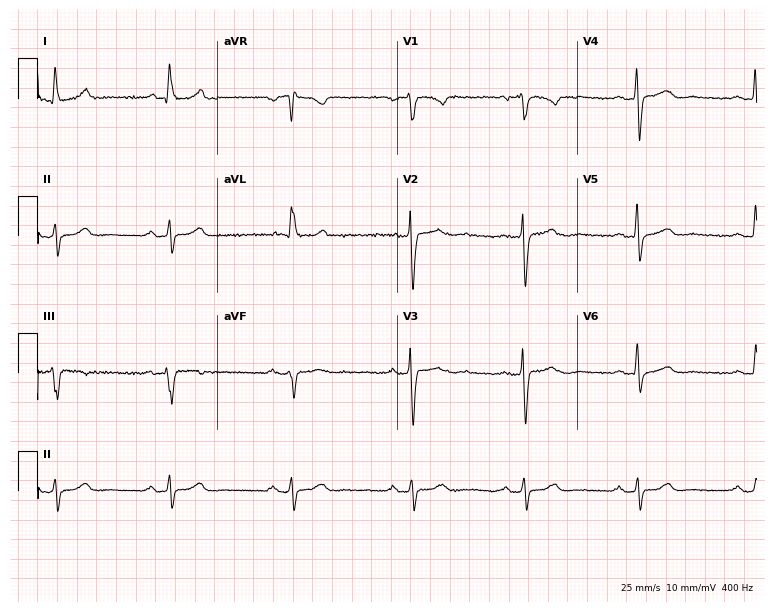
12-lead ECG from a 65-year-old woman. No first-degree AV block, right bundle branch block, left bundle branch block, sinus bradycardia, atrial fibrillation or sinus tachycardia recorded for this tracing.